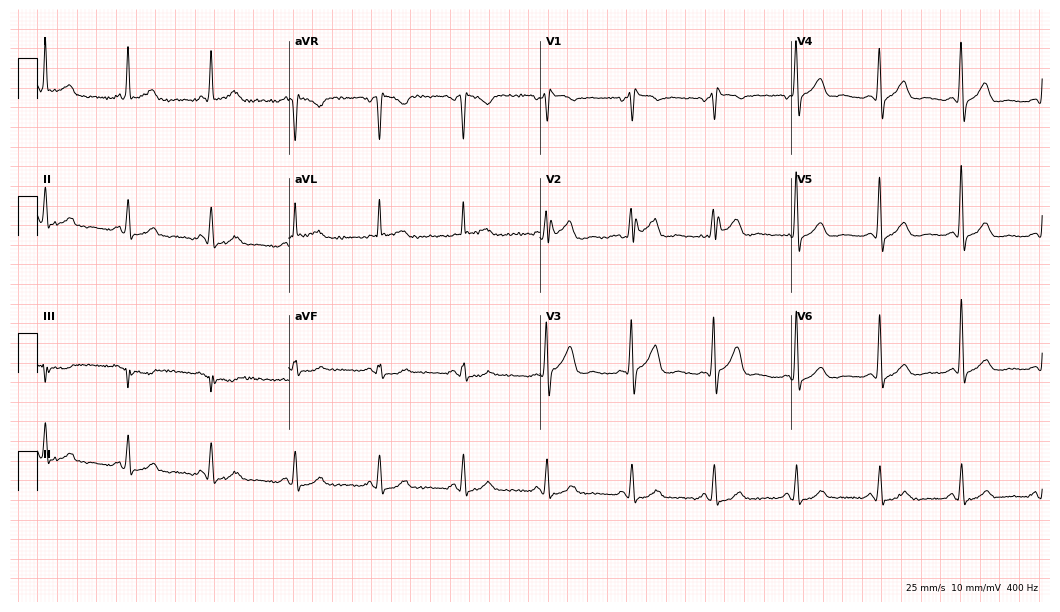
12-lead ECG from a man, 69 years old (10.2-second recording at 400 Hz). No first-degree AV block, right bundle branch block, left bundle branch block, sinus bradycardia, atrial fibrillation or sinus tachycardia recorded for this tracing. Only these six findings were labelled.